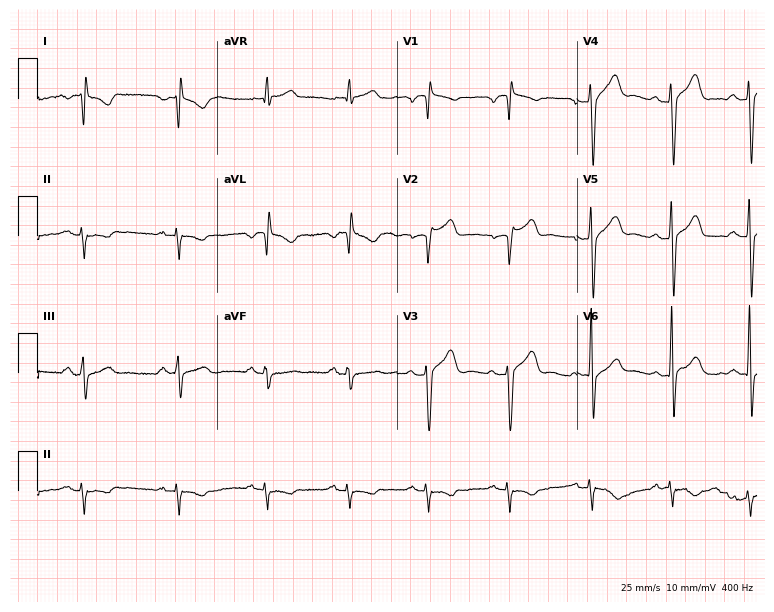
Electrocardiogram, a 49-year-old male. Of the six screened findings (first-degree AV block, right bundle branch block, left bundle branch block, sinus bradycardia, atrial fibrillation, sinus tachycardia), none is recorded. Other findings, if any, are not listed.